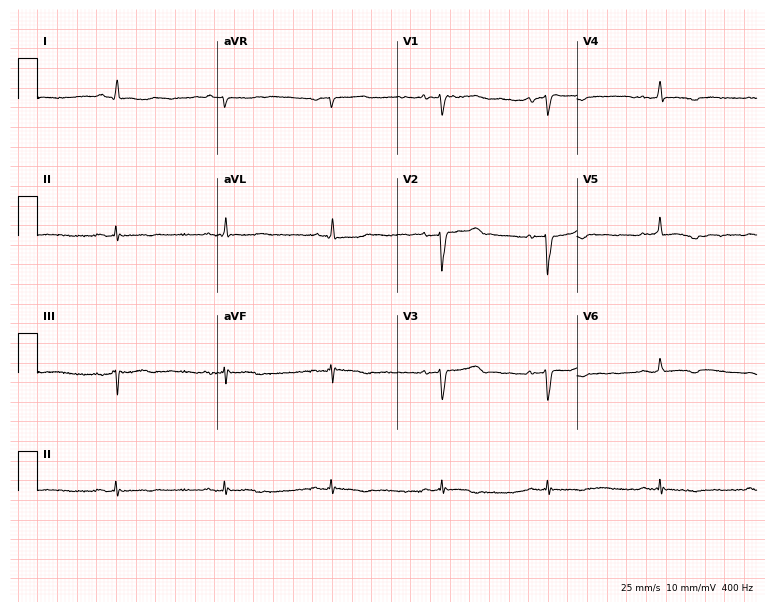
Resting 12-lead electrocardiogram. Patient: a 45-year-old woman. None of these six findings is recorded: first-degree AV block, right bundle branch block (RBBB), left bundle branch block (LBBB), sinus bradycardia, atrial fibrillation (AF), sinus tachycardia. Other findings, if any, are not listed.